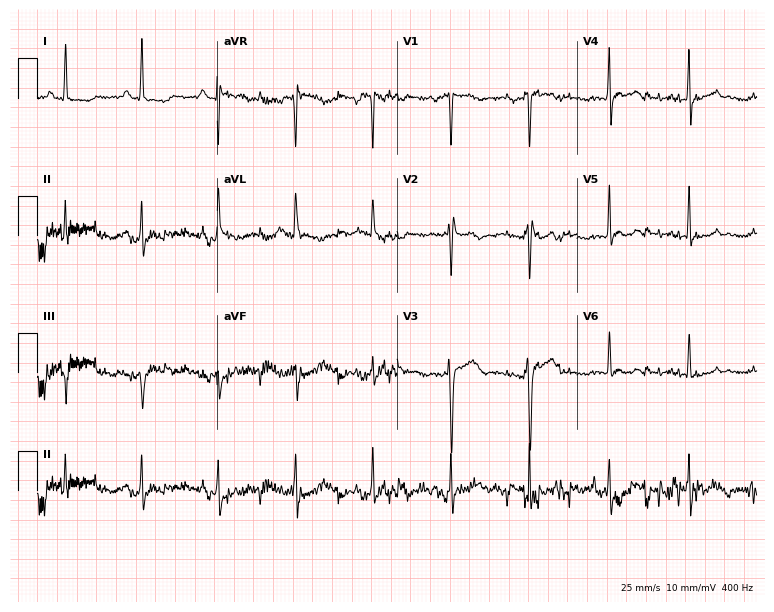
12-lead ECG from a female, 29 years old. No first-degree AV block, right bundle branch block, left bundle branch block, sinus bradycardia, atrial fibrillation or sinus tachycardia recorded for this tracing. Other findings, if any, are not listed.